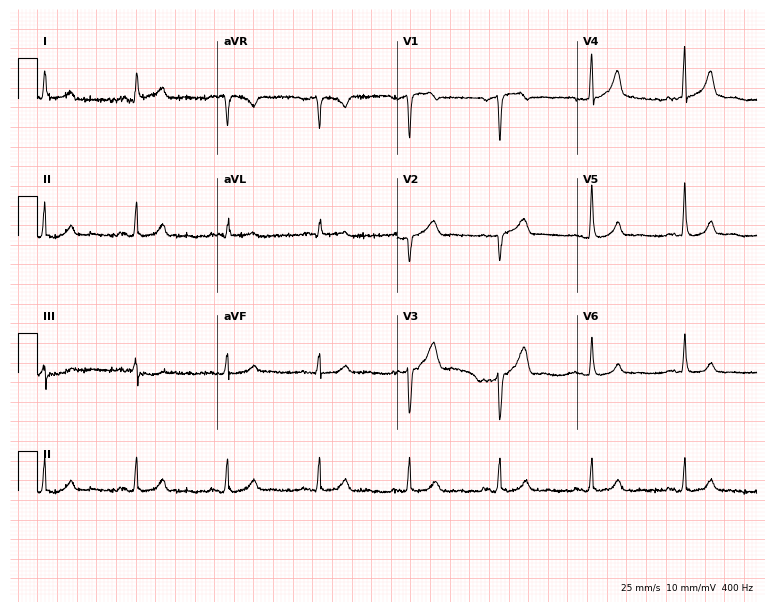
12-lead ECG (7.3-second recording at 400 Hz) from a 41-year-old male patient. Screened for six findings — first-degree AV block, right bundle branch block, left bundle branch block, sinus bradycardia, atrial fibrillation, sinus tachycardia — none is recorded. Only these six findings were labelled.